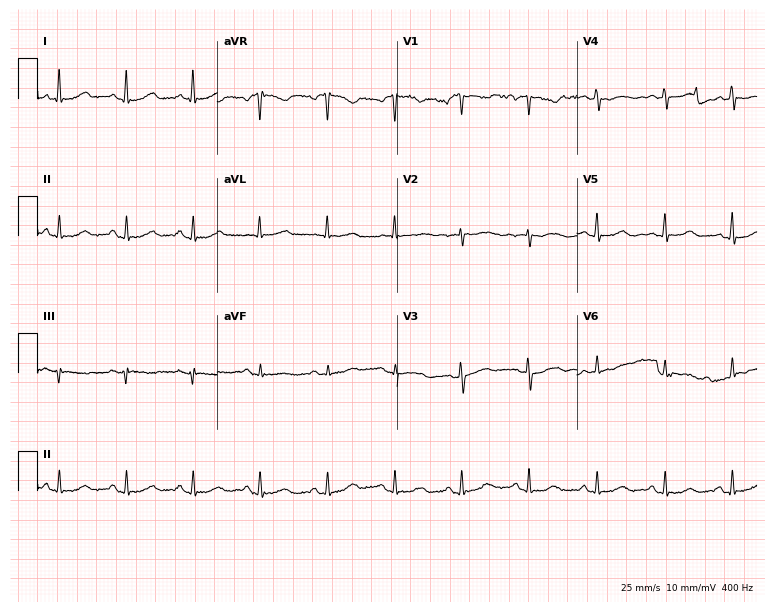
ECG — a 56-year-old woman. Screened for six findings — first-degree AV block, right bundle branch block, left bundle branch block, sinus bradycardia, atrial fibrillation, sinus tachycardia — none is recorded.